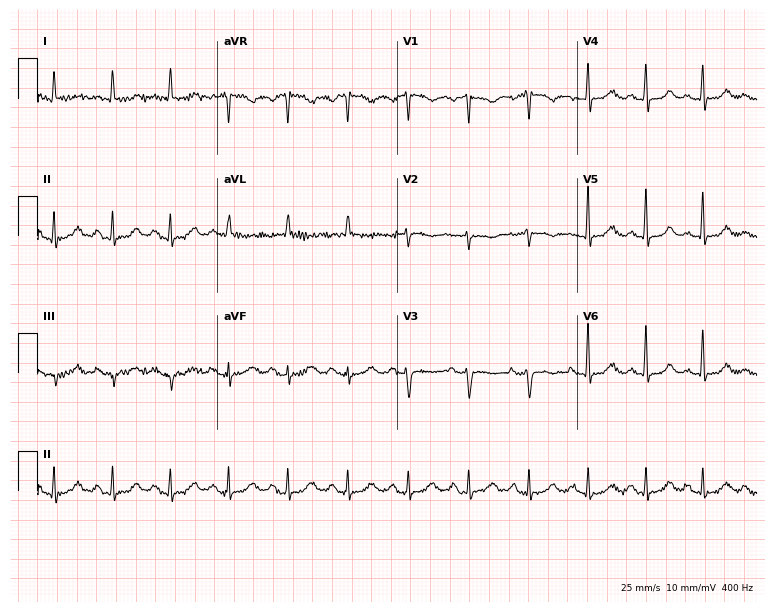
12-lead ECG from a 74-year-old female. Labelled as a normal ECG.